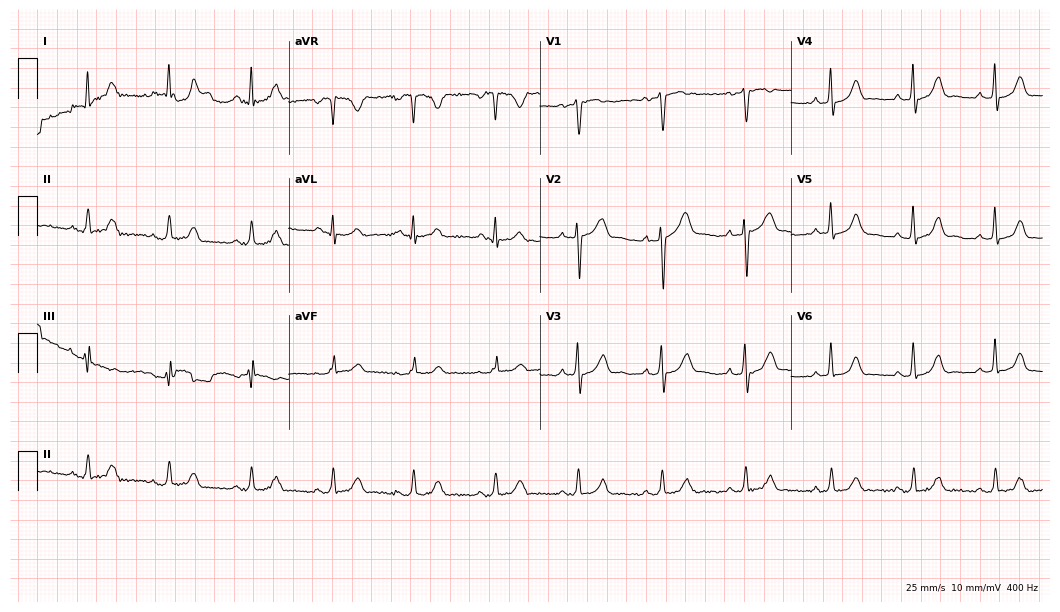
Resting 12-lead electrocardiogram (10.2-second recording at 400 Hz). Patient: a 39-year-old male. Read as a normal ECG.